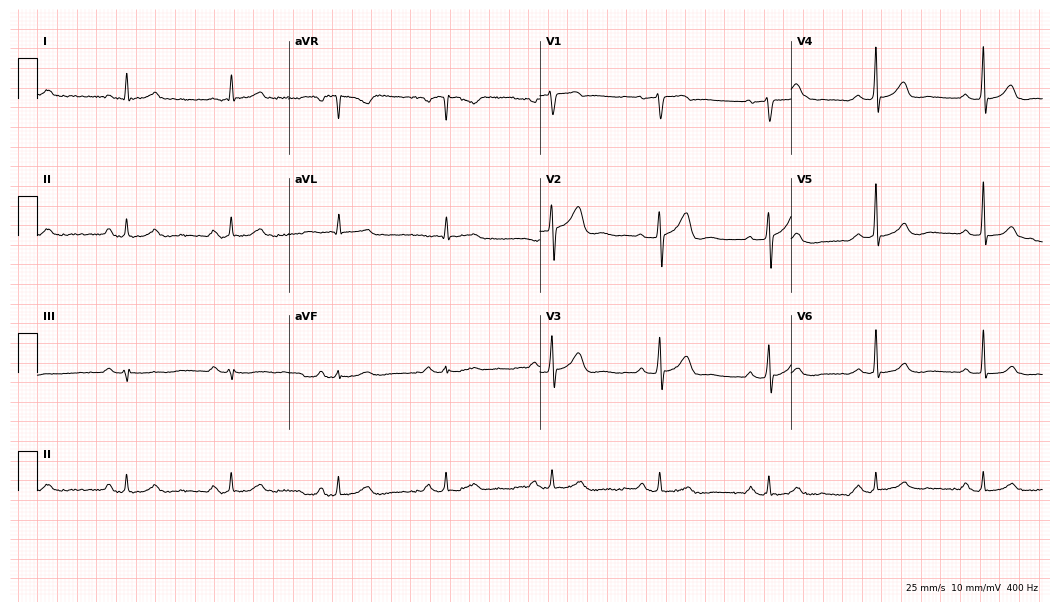
12-lead ECG from a 58-year-old man. Shows first-degree AV block.